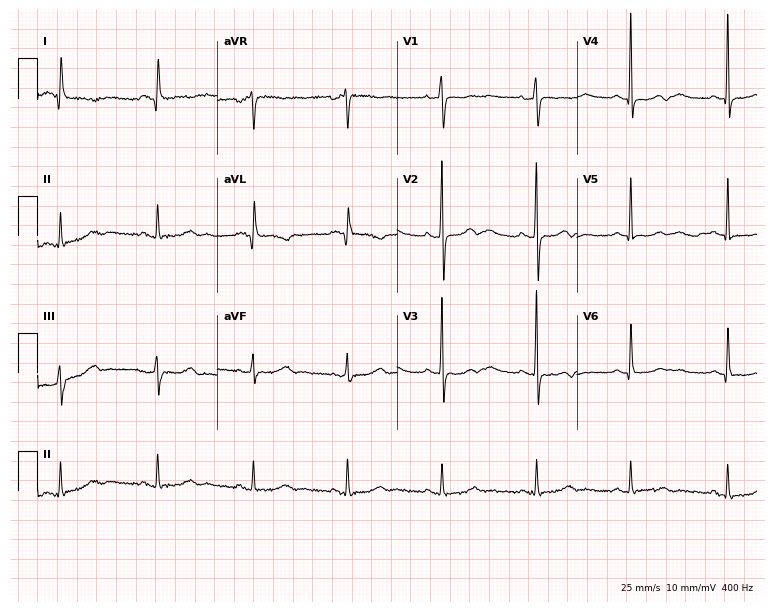
Resting 12-lead electrocardiogram (7.3-second recording at 400 Hz). Patient: a female, 75 years old. None of these six findings is recorded: first-degree AV block, right bundle branch block, left bundle branch block, sinus bradycardia, atrial fibrillation, sinus tachycardia.